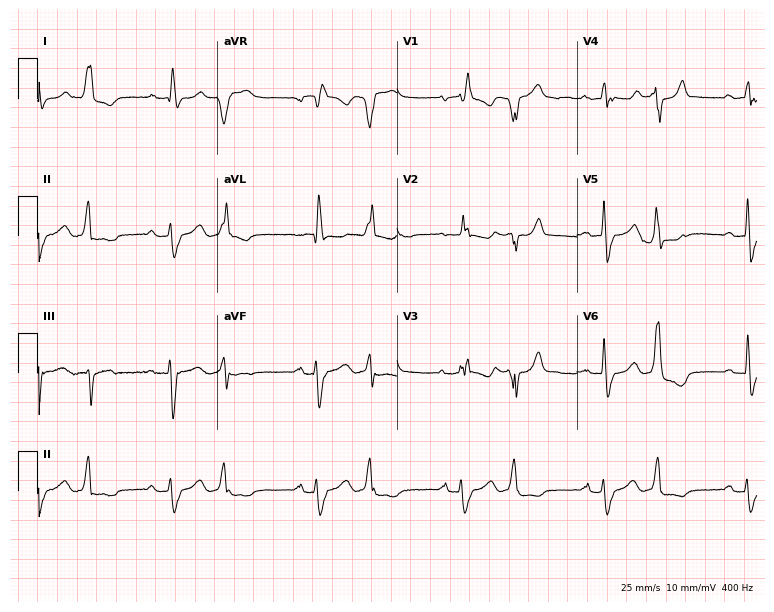
12-lead ECG from a 78-year-old female patient. Shows right bundle branch block.